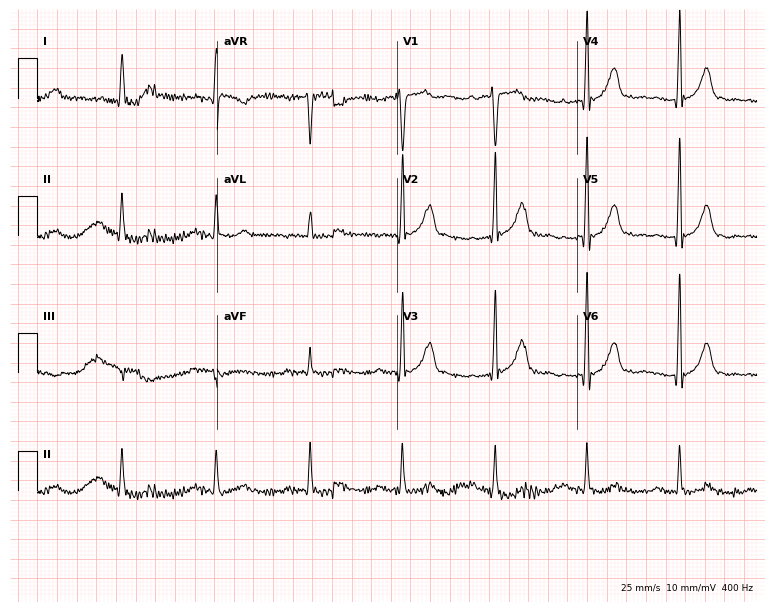
Standard 12-lead ECG recorded from a male, 70 years old. None of these six findings is recorded: first-degree AV block, right bundle branch block (RBBB), left bundle branch block (LBBB), sinus bradycardia, atrial fibrillation (AF), sinus tachycardia.